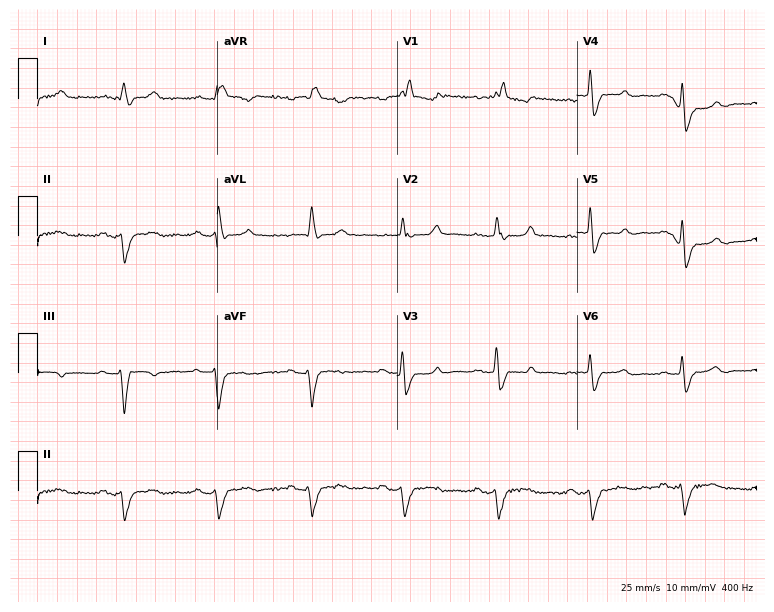
Electrocardiogram (7.3-second recording at 400 Hz), a 77-year-old male. Interpretation includes right bundle branch block (RBBB).